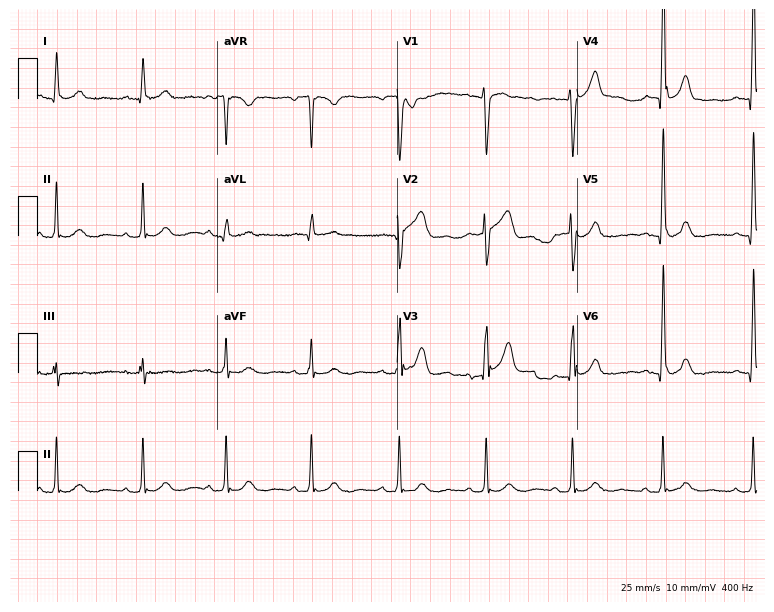
12-lead ECG (7.3-second recording at 400 Hz) from a man, 53 years old. Screened for six findings — first-degree AV block, right bundle branch block (RBBB), left bundle branch block (LBBB), sinus bradycardia, atrial fibrillation (AF), sinus tachycardia — none is recorded.